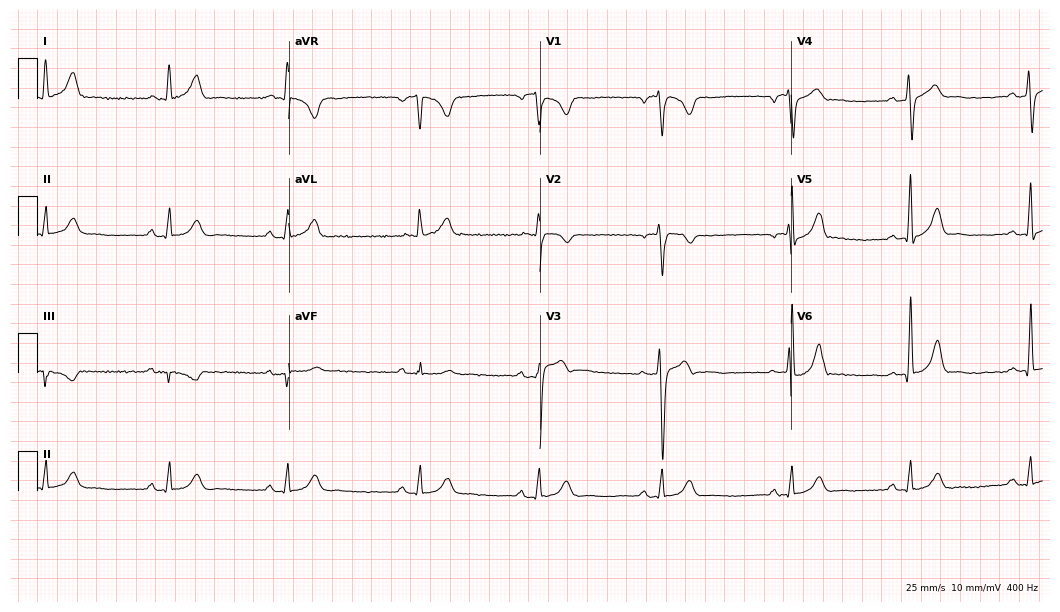
12-lead ECG (10.2-second recording at 400 Hz) from a male patient, 24 years old. Screened for six findings — first-degree AV block, right bundle branch block, left bundle branch block, sinus bradycardia, atrial fibrillation, sinus tachycardia — none is recorded. Findings outside these six are not listed.